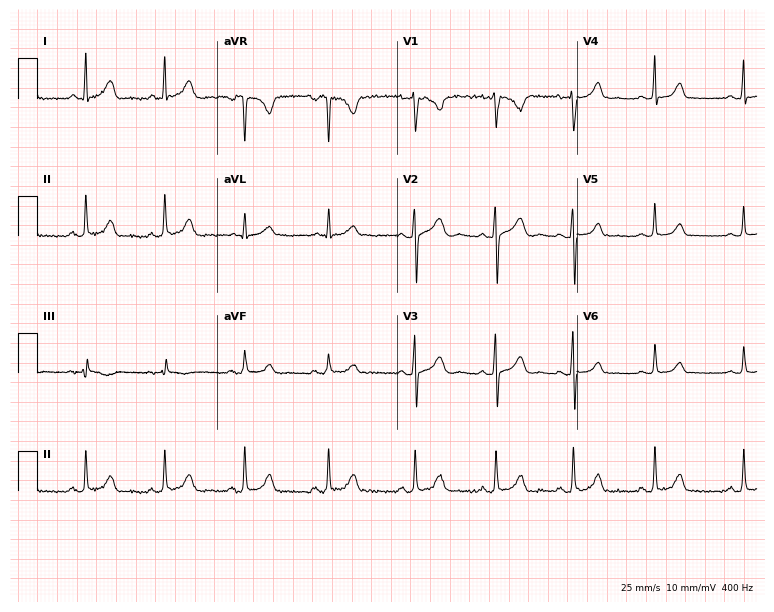
Standard 12-lead ECG recorded from a woman, 29 years old. None of these six findings is recorded: first-degree AV block, right bundle branch block (RBBB), left bundle branch block (LBBB), sinus bradycardia, atrial fibrillation (AF), sinus tachycardia. Only these six findings were labelled.